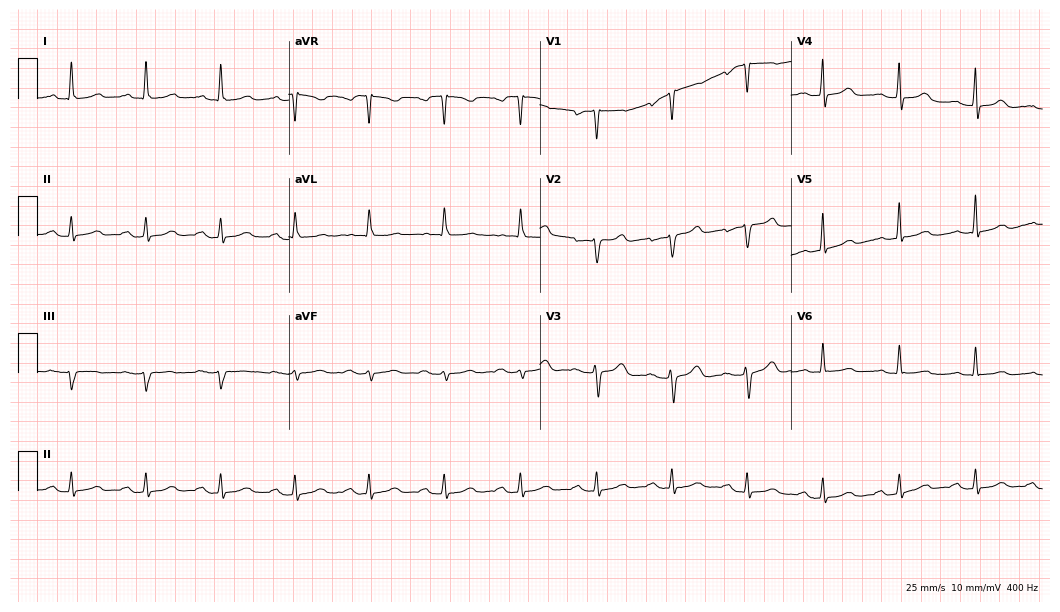
Resting 12-lead electrocardiogram (10.2-second recording at 400 Hz). Patient: a female, 81 years old. Read as a normal ECG.